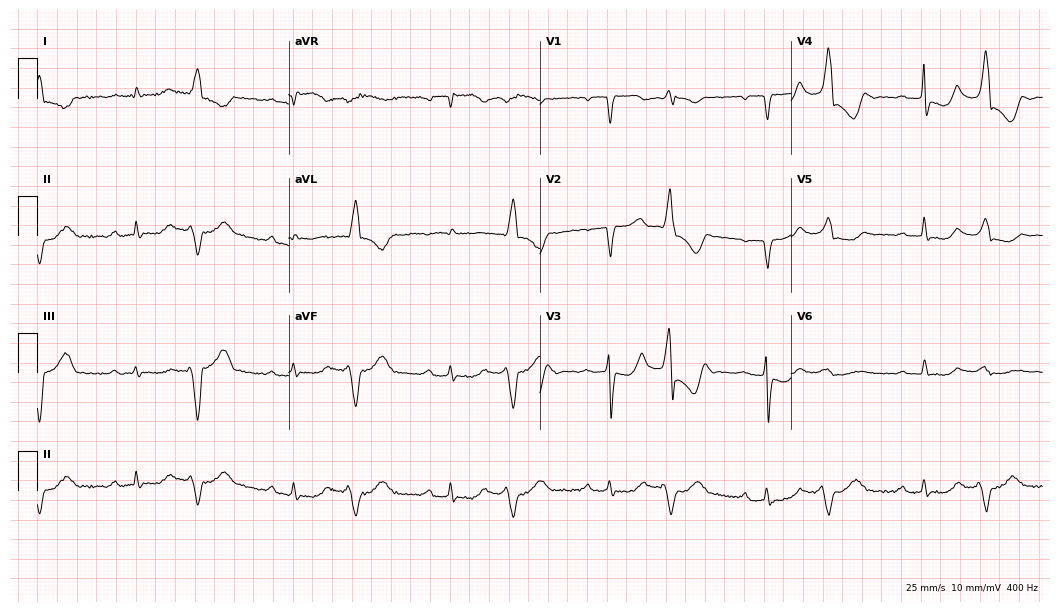
Standard 12-lead ECG recorded from an 85-year-old female. The tracing shows first-degree AV block.